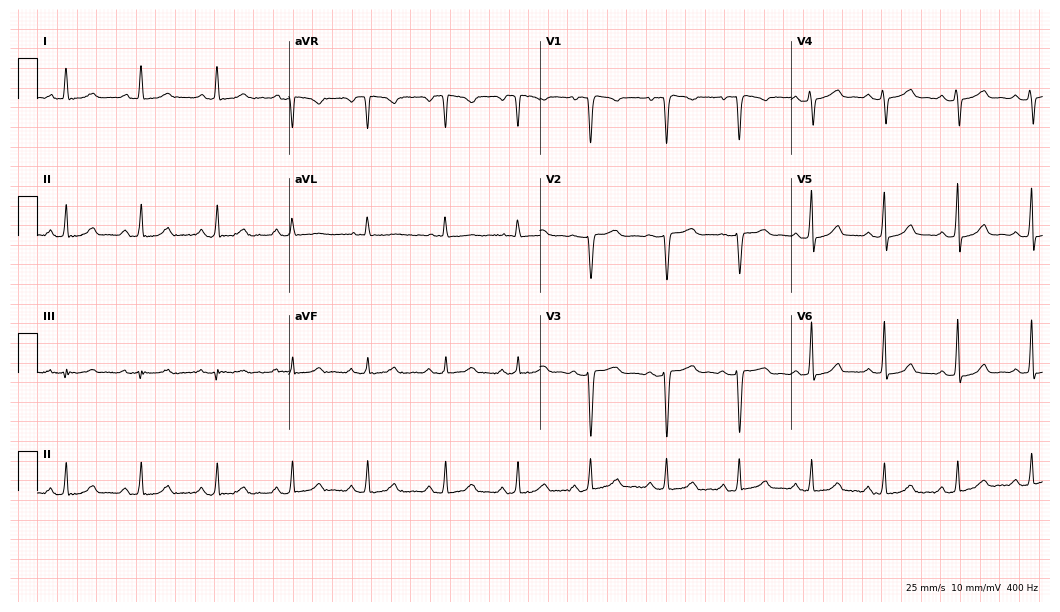
Resting 12-lead electrocardiogram (10.2-second recording at 400 Hz). Patient: a 32-year-old female. None of these six findings is recorded: first-degree AV block, right bundle branch block (RBBB), left bundle branch block (LBBB), sinus bradycardia, atrial fibrillation (AF), sinus tachycardia.